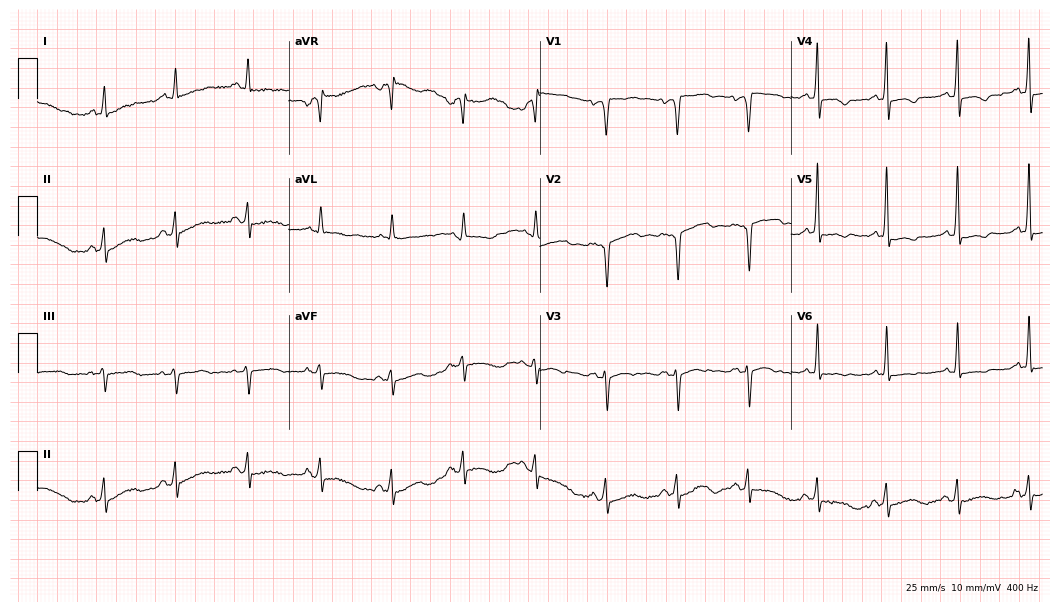
12-lead ECG from a woman, 56 years old. Screened for six findings — first-degree AV block, right bundle branch block, left bundle branch block, sinus bradycardia, atrial fibrillation, sinus tachycardia — none is recorded.